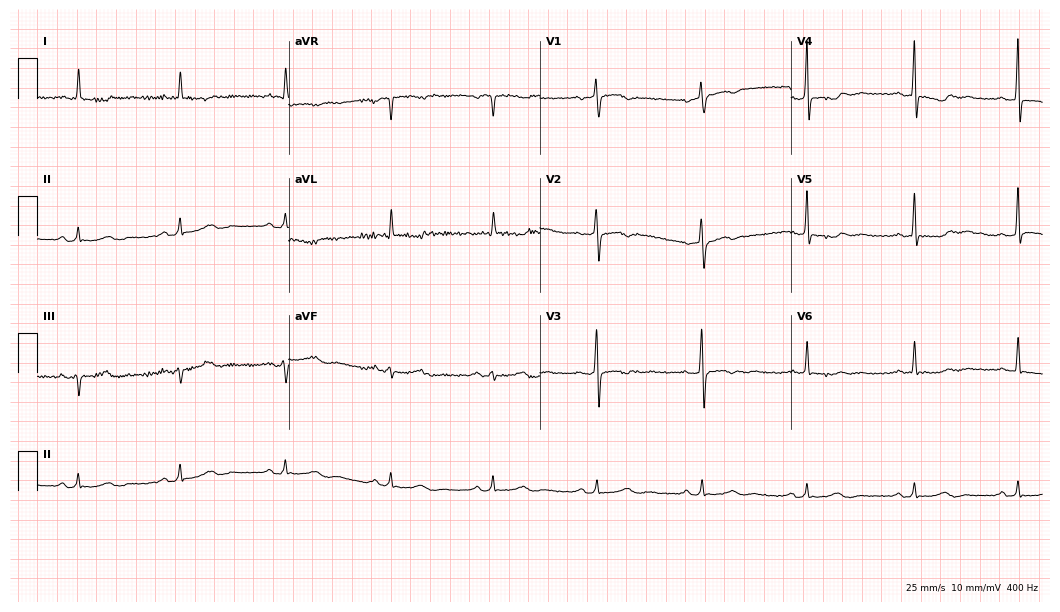
12-lead ECG from a 65-year-old woman (10.2-second recording at 400 Hz). No first-degree AV block, right bundle branch block (RBBB), left bundle branch block (LBBB), sinus bradycardia, atrial fibrillation (AF) or sinus tachycardia recorded for this tracing.